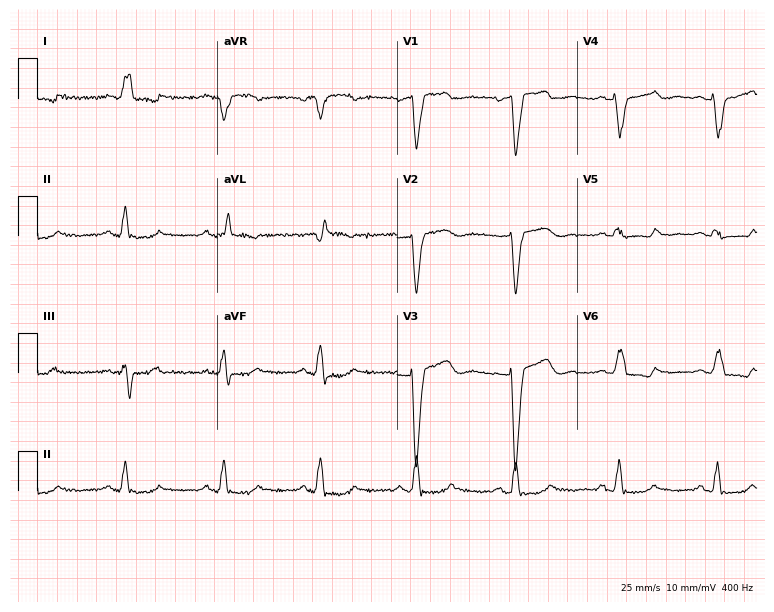
Electrocardiogram (7.3-second recording at 400 Hz), a 67-year-old female patient. Interpretation includes left bundle branch block.